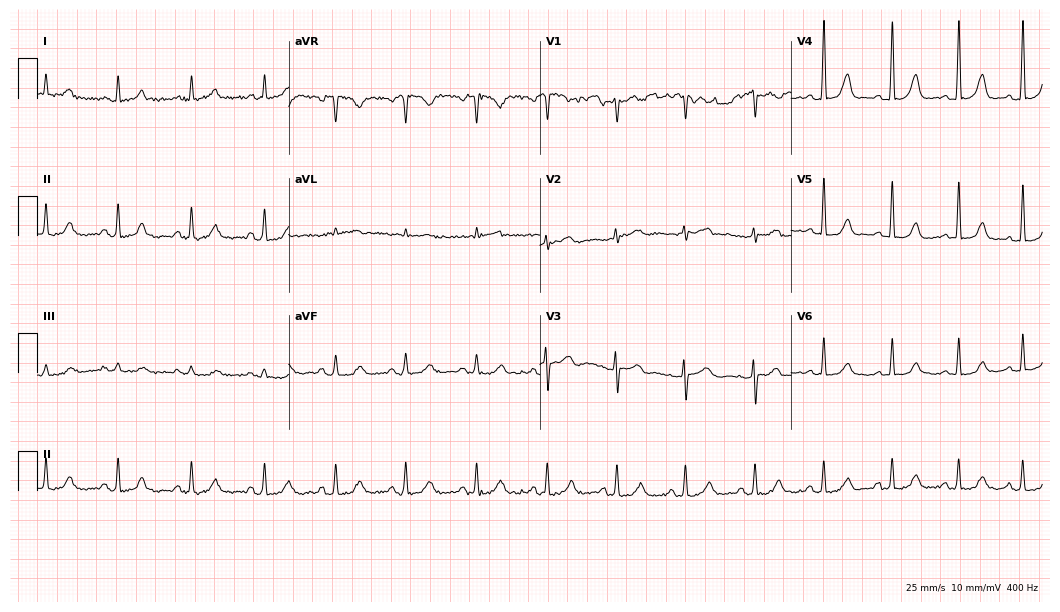
Standard 12-lead ECG recorded from a female, 49 years old. Read as a normal ECG.